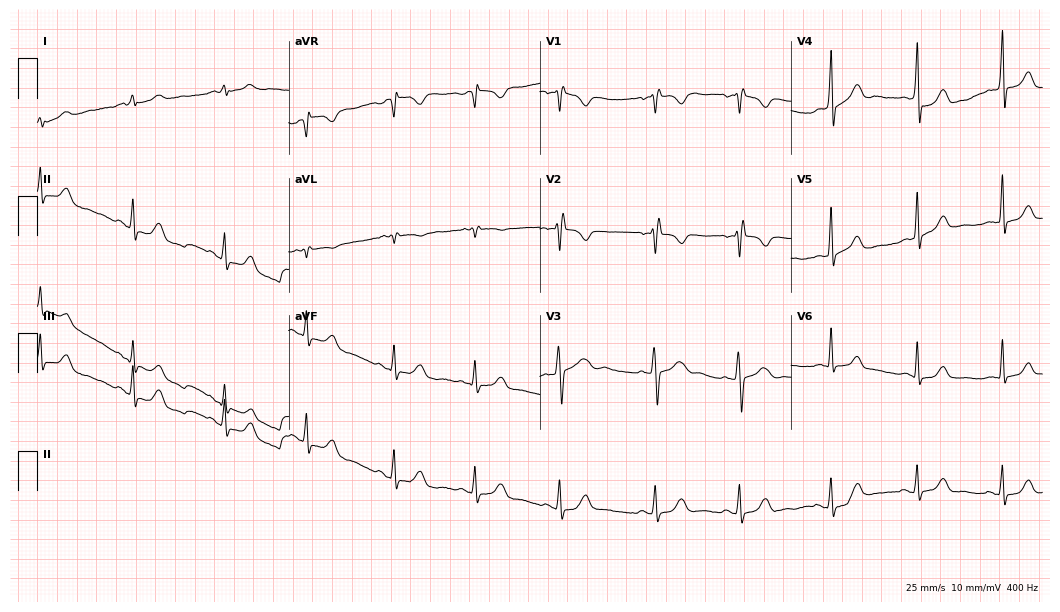
Standard 12-lead ECG recorded from a 20-year-old woman. Read as a normal ECG.